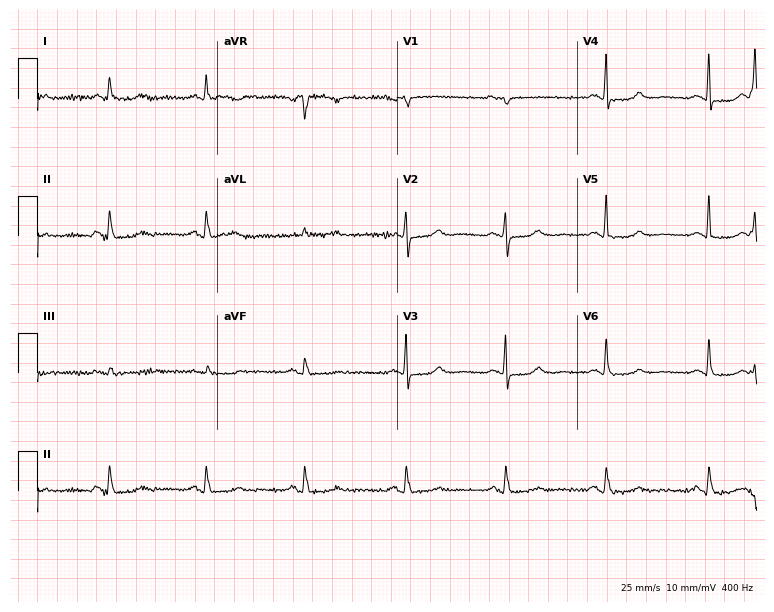
12-lead ECG from a 65-year-old female patient. Recorded interpretation: within normal limits.